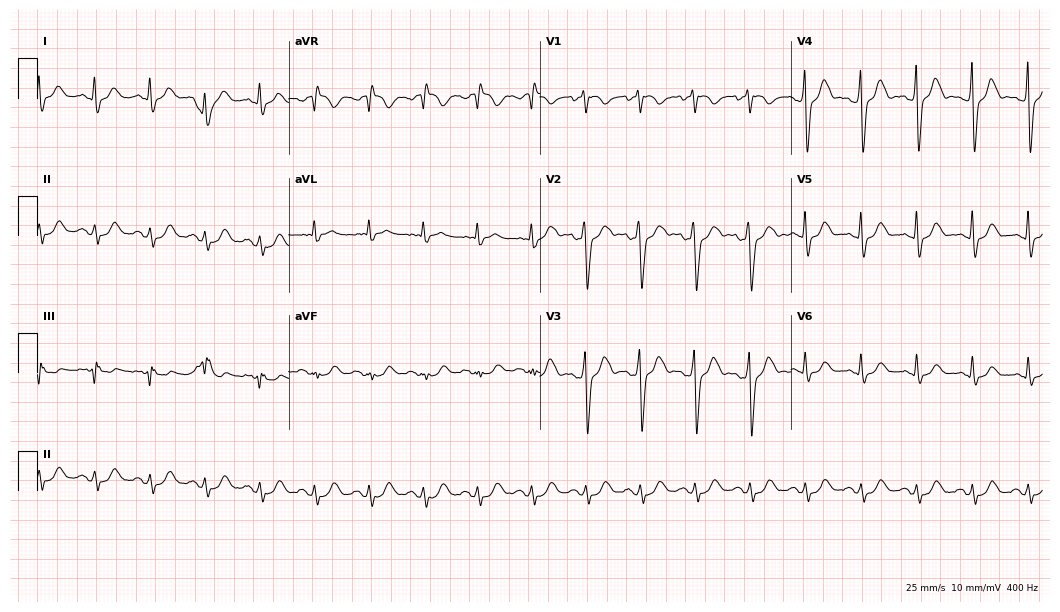
12-lead ECG from a male patient, 46 years old. Findings include sinus tachycardia (a sinus rate of 100 beats per minute or more).